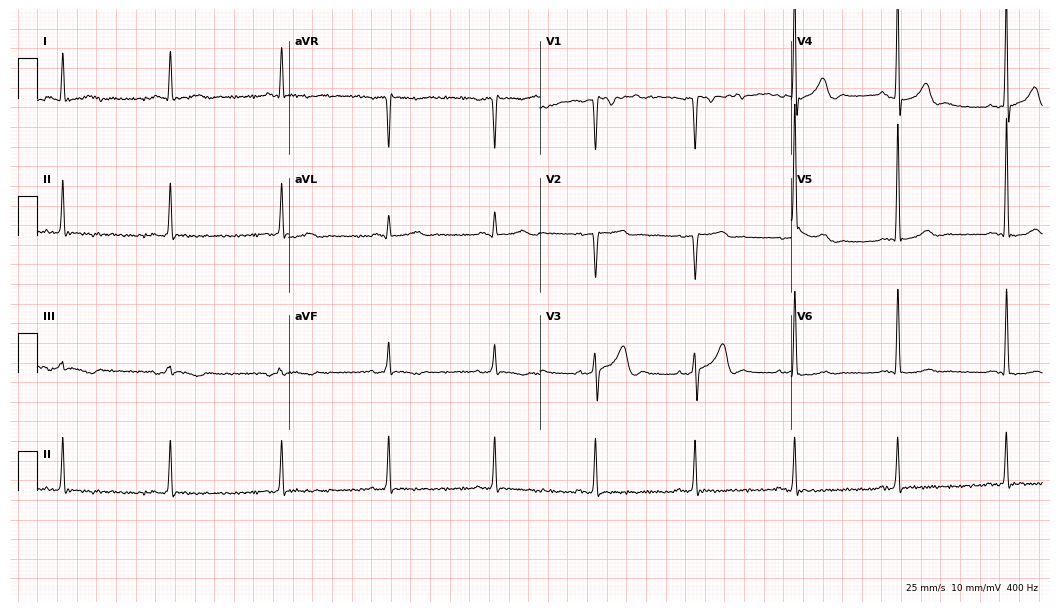
ECG — a male patient, 64 years old. Screened for six findings — first-degree AV block, right bundle branch block (RBBB), left bundle branch block (LBBB), sinus bradycardia, atrial fibrillation (AF), sinus tachycardia — none is recorded. Other findings, if any, are not listed.